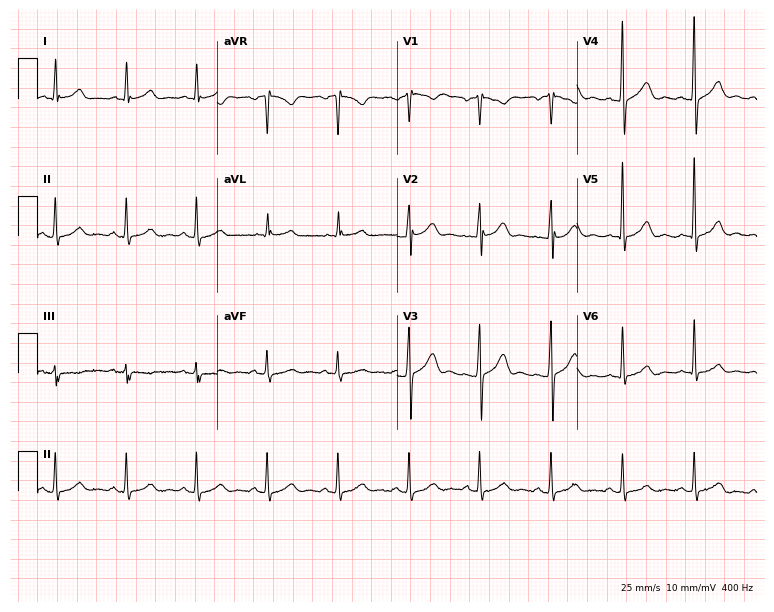
Standard 12-lead ECG recorded from a male patient, 44 years old (7.3-second recording at 400 Hz). None of these six findings is recorded: first-degree AV block, right bundle branch block, left bundle branch block, sinus bradycardia, atrial fibrillation, sinus tachycardia. Other findings, if any, are not listed.